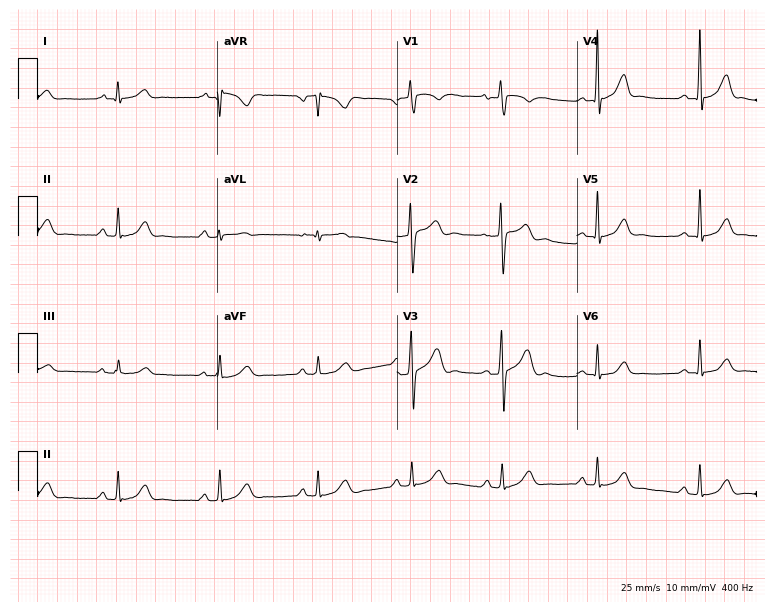
Resting 12-lead electrocardiogram (7.3-second recording at 400 Hz). Patient: a 28-year-old male. None of these six findings is recorded: first-degree AV block, right bundle branch block (RBBB), left bundle branch block (LBBB), sinus bradycardia, atrial fibrillation (AF), sinus tachycardia.